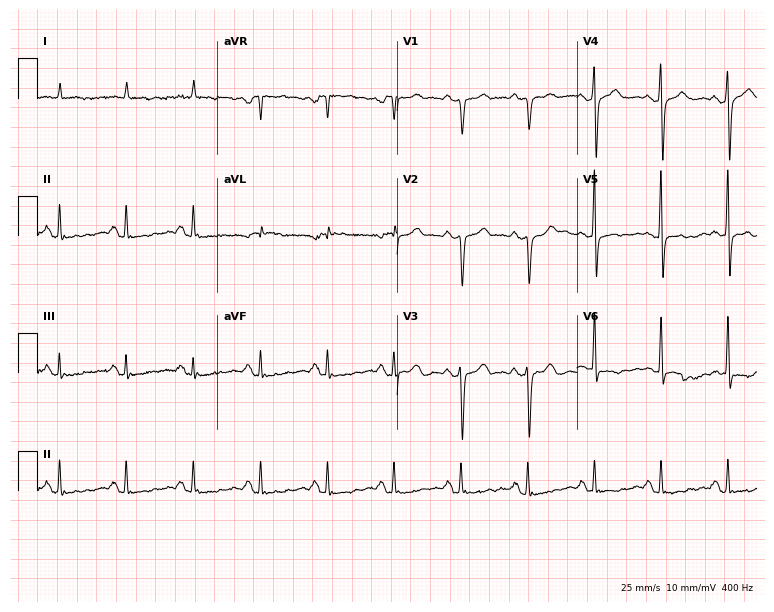
12-lead ECG from a male patient, 80 years old. Screened for six findings — first-degree AV block, right bundle branch block, left bundle branch block, sinus bradycardia, atrial fibrillation, sinus tachycardia — none is recorded. Only these six findings were labelled.